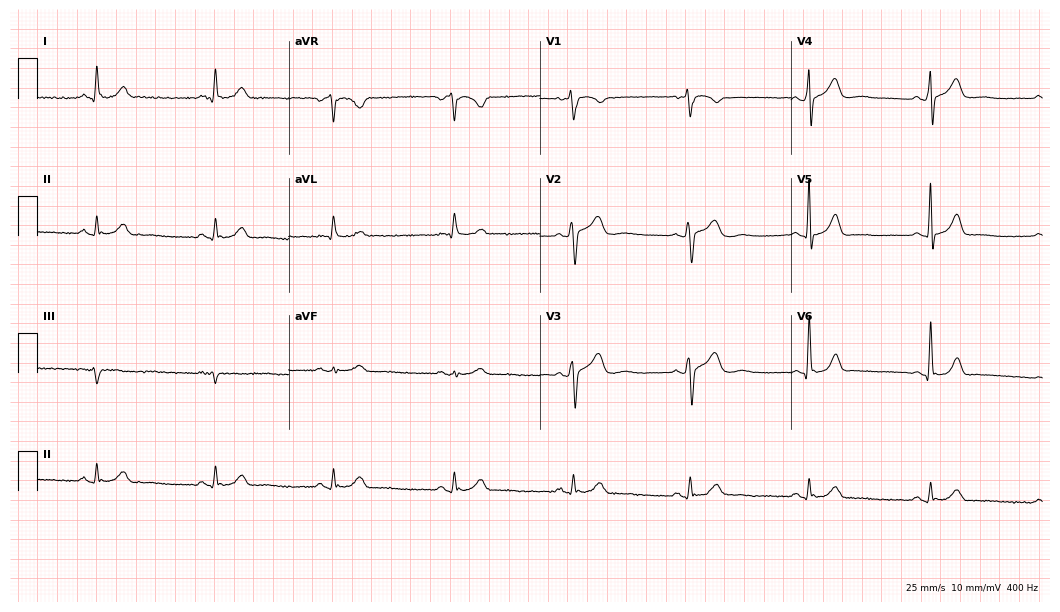
12-lead ECG from a 49-year-old male patient. No first-degree AV block, right bundle branch block, left bundle branch block, sinus bradycardia, atrial fibrillation or sinus tachycardia recorded for this tracing. Other findings, if any, are not listed.